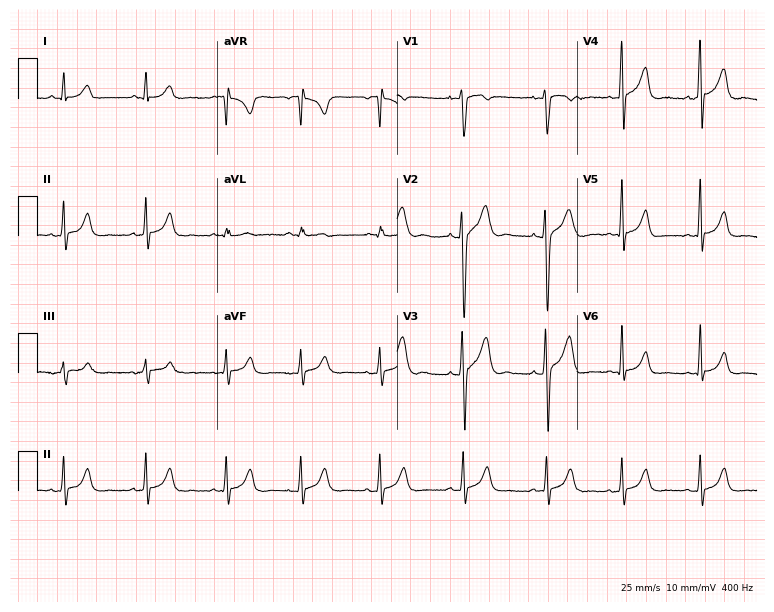
Electrocardiogram, a man, 18 years old. Overall reading on record: normal ECG.